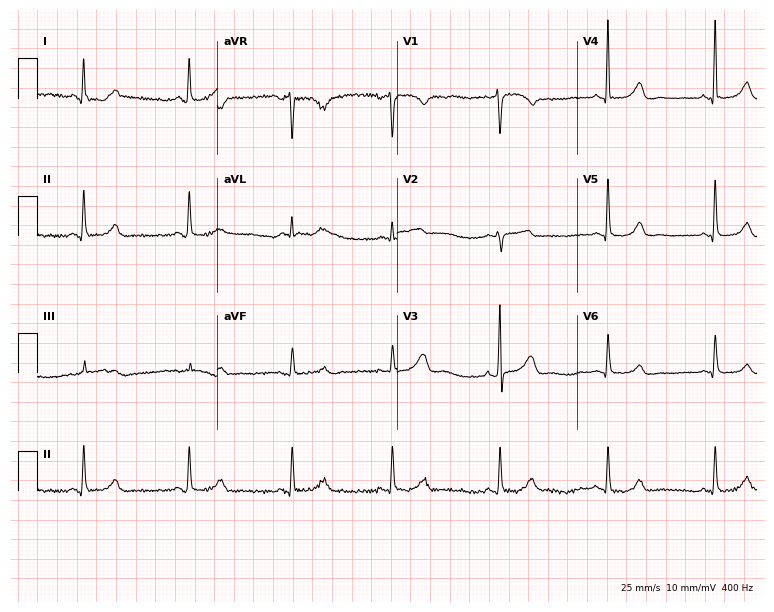
Standard 12-lead ECG recorded from a 47-year-old female patient. Read as a normal ECG.